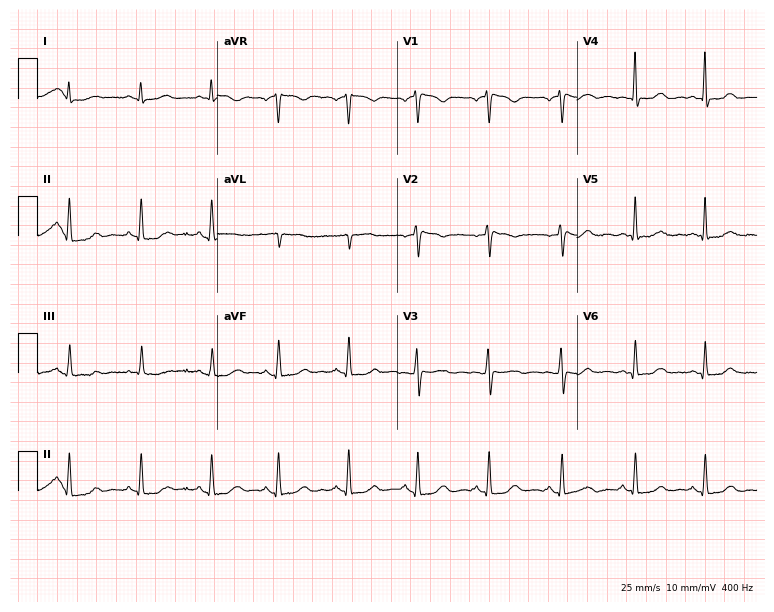
Electrocardiogram (7.3-second recording at 400 Hz), a 51-year-old female patient. Of the six screened findings (first-degree AV block, right bundle branch block (RBBB), left bundle branch block (LBBB), sinus bradycardia, atrial fibrillation (AF), sinus tachycardia), none is recorded. Other findings, if any, are not listed.